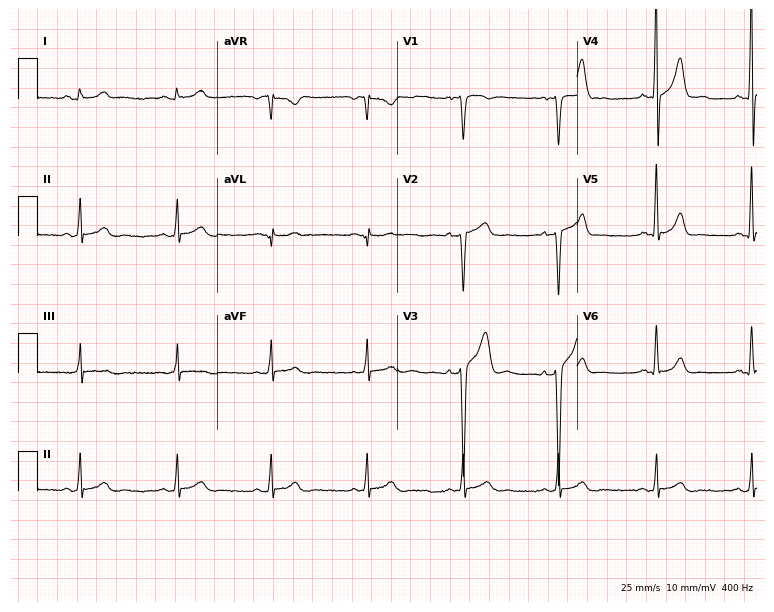
Electrocardiogram, a 38-year-old man. Overall reading on record: normal ECG.